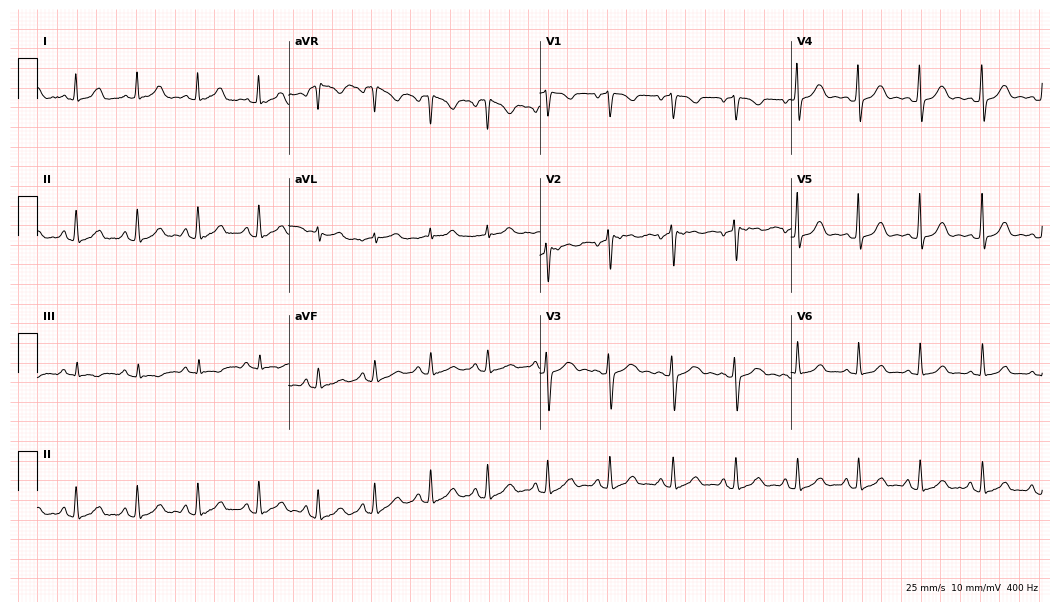
ECG (10.2-second recording at 400 Hz) — a 29-year-old woman. Labelled as a normal ECG.